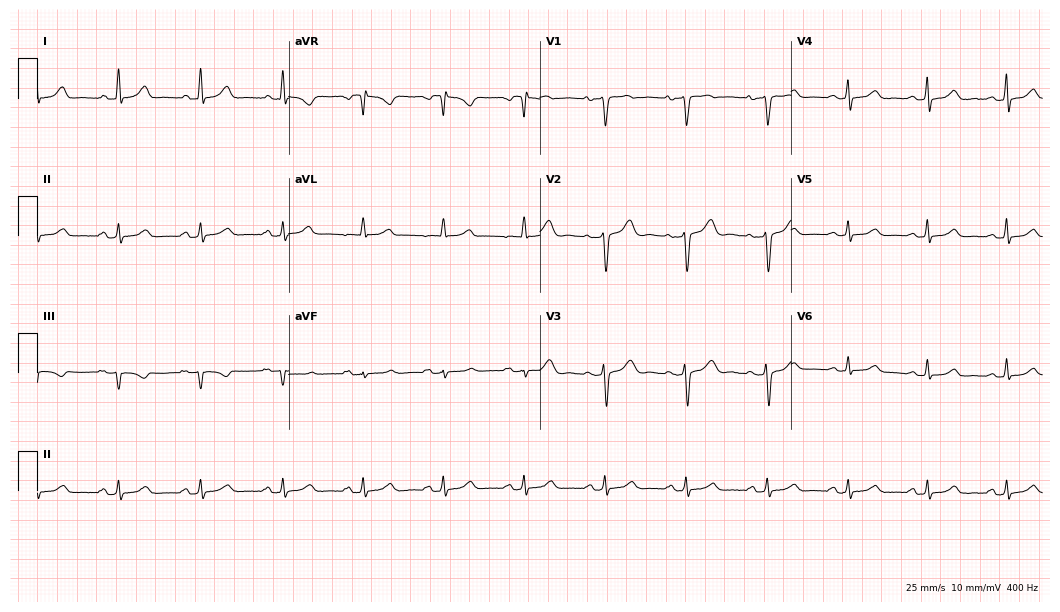
Electrocardiogram, a woman, 46 years old. Of the six screened findings (first-degree AV block, right bundle branch block, left bundle branch block, sinus bradycardia, atrial fibrillation, sinus tachycardia), none is recorded.